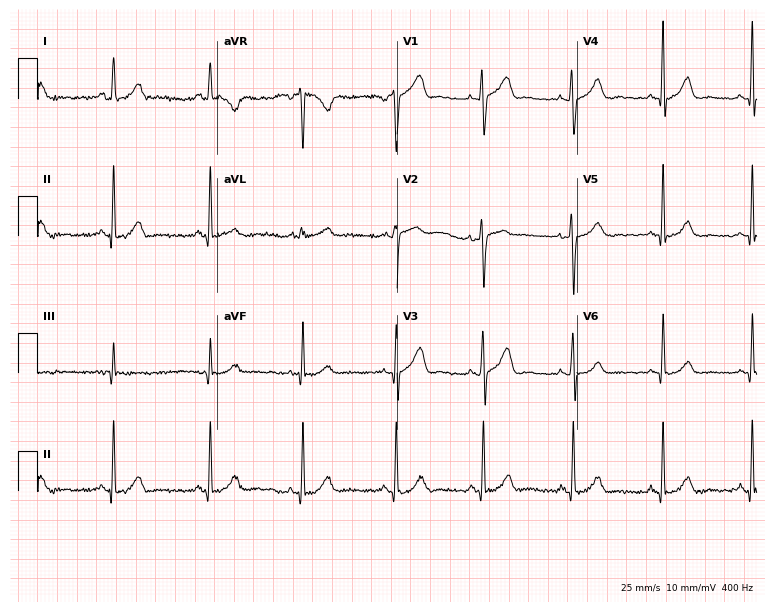
ECG — a female patient, 36 years old. Labelled as a normal ECG.